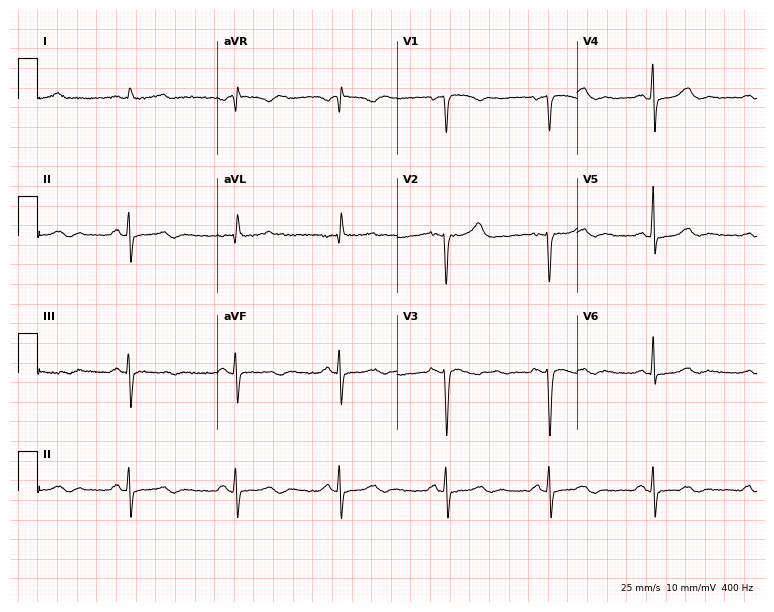
12-lead ECG from a 65-year-old female patient. No first-degree AV block, right bundle branch block, left bundle branch block, sinus bradycardia, atrial fibrillation or sinus tachycardia recorded for this tracing. Other findings, if any, are not listed.